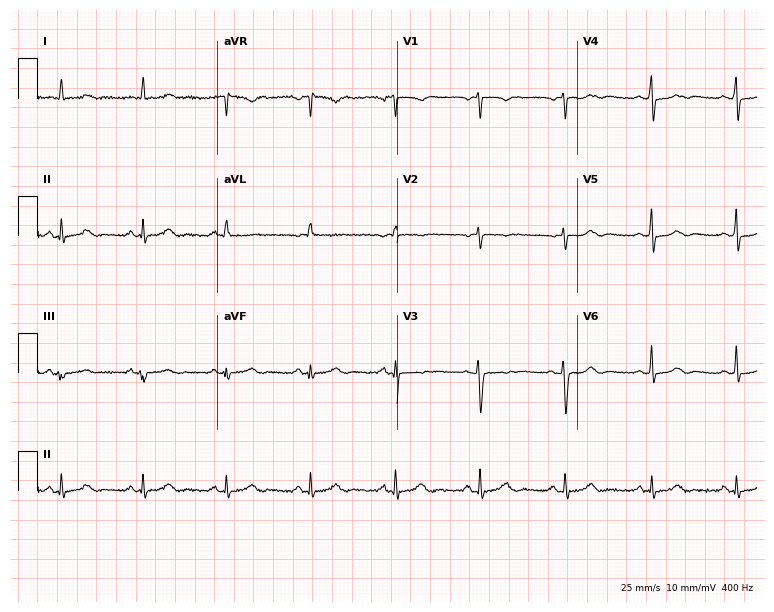
12-lead ECG from a female patient, 62 years old (7.3-second recording at 400 Hz). Recorded interpretation: within normal limits.